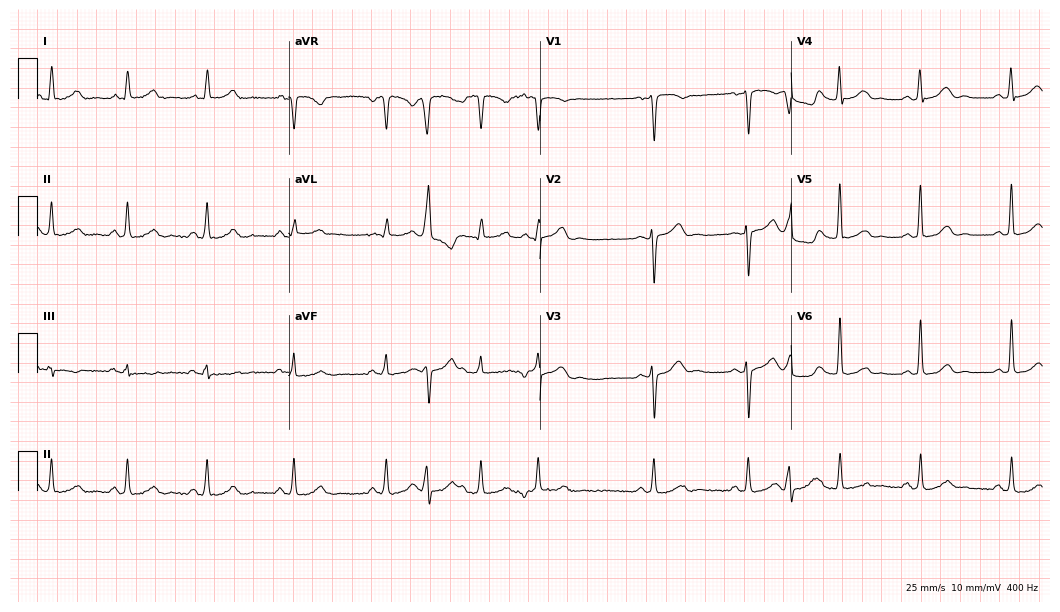
Resting 12-lead electrocardiogram. Patient: a woman, 51 years old. None of these six findings is recorded: first-degree AV block, right bundle branch block, left bundle branch block, sinus bradycardia, atrial fibrillation, sinus tachycardia. Only these six findings were labelled.